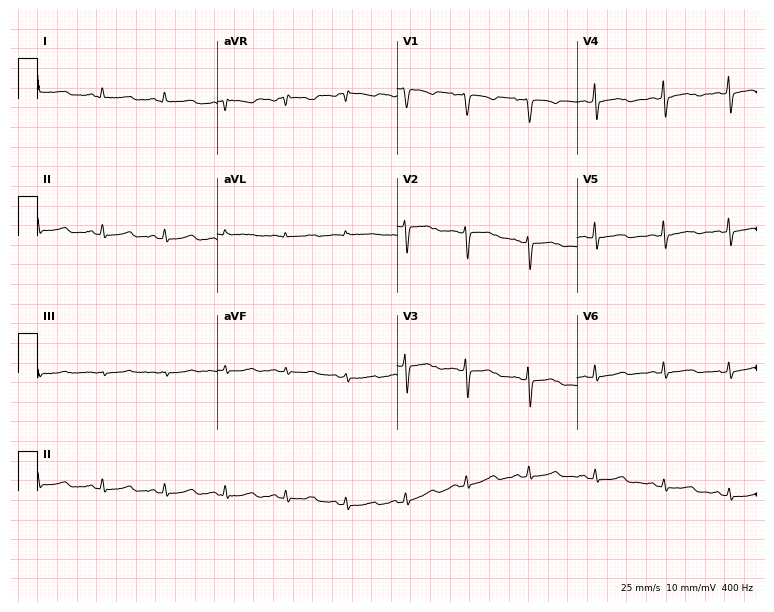
Electrocardiogram (7.3-second recording at 400 Hz), a 41-year-old female. Of the six screened findings (first-degree AV block, right bundle branch block, left bundle branch block, sinus bradycardia, atrial fibrillation, sinus tachycardia), none is recorded. Findings outside these six are not listed.